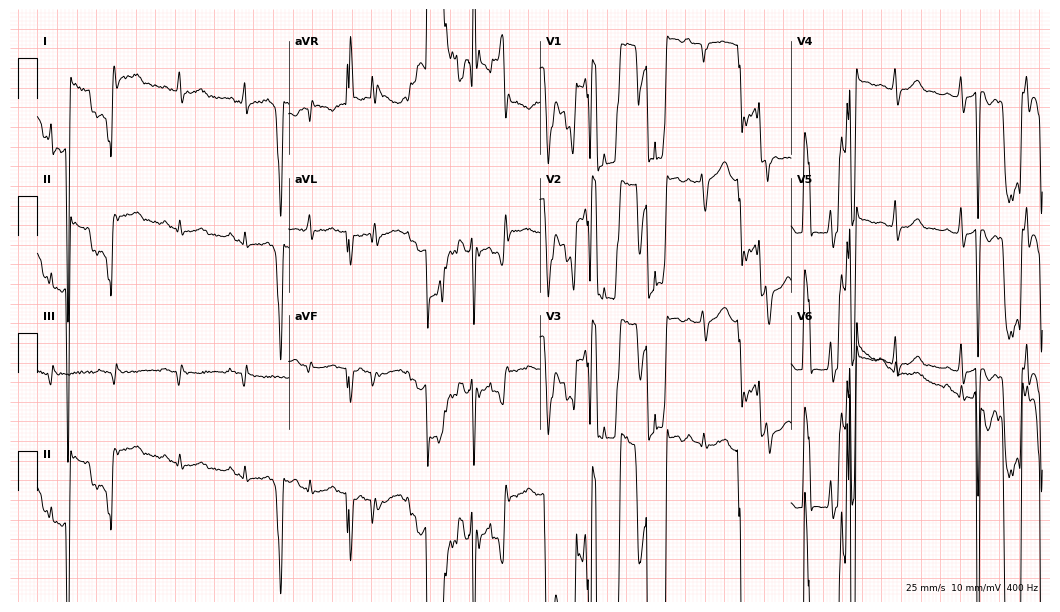
12-lead ECG (10.2-second recording at 400 Hz) from a 51-year-old male. Screened for six findings — first-degree AV block, right bundle branch block, left bundle branch block, sinus bradycardia, atrial fibrillation, sinus tachycardia — none is recorded. Other findings, if any, are not listed.